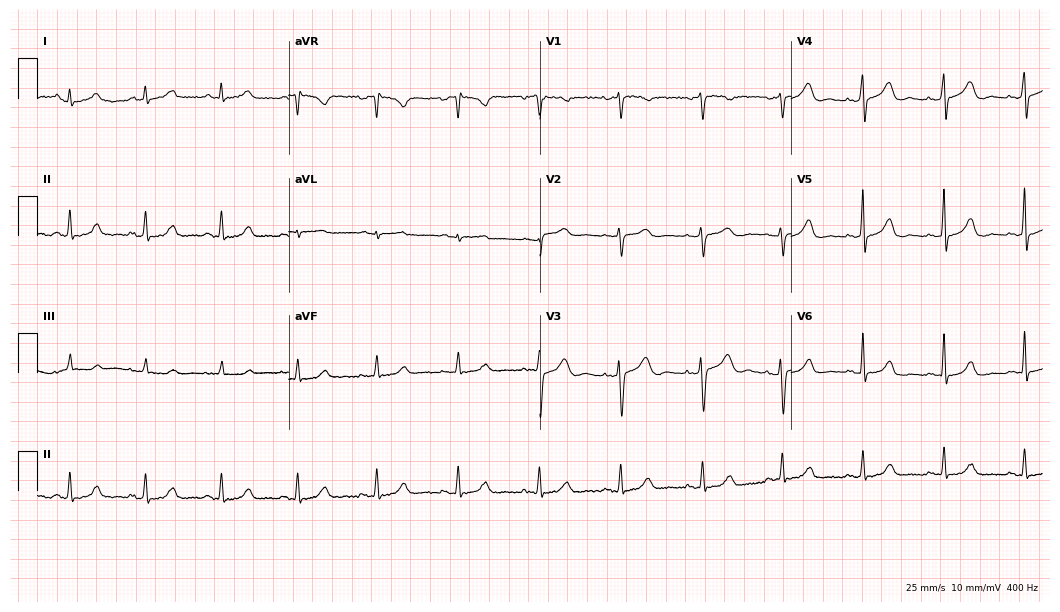
12-lead ECG (10.2-second recording at 400 Hz) from a 43-year-old female. Labelled as a normal ECG.